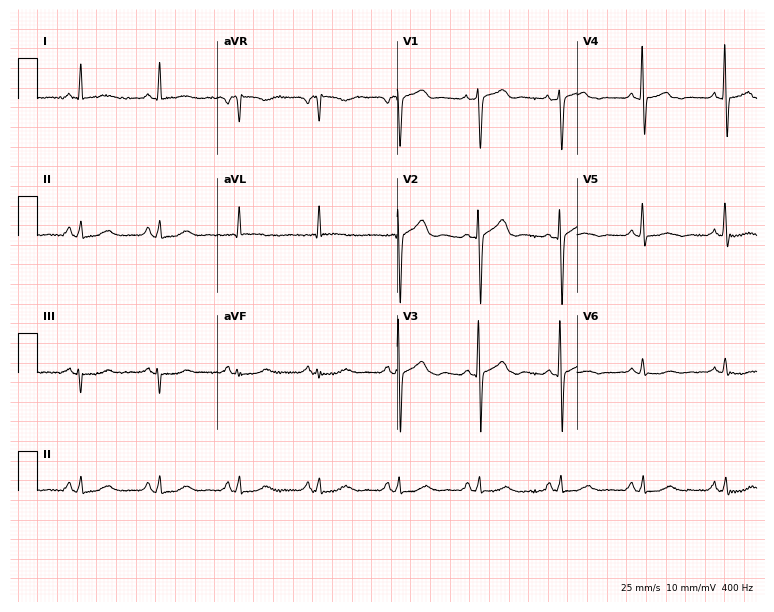
ECG (7.3-second recording at 400 Hz) — a male, 85 years old. Screened for six findings — first-degree AV block, right bundle branch block, left bundle branch block, sinus bradycardia, atrial fibrillation, sinus tachycardia — none is recorded.